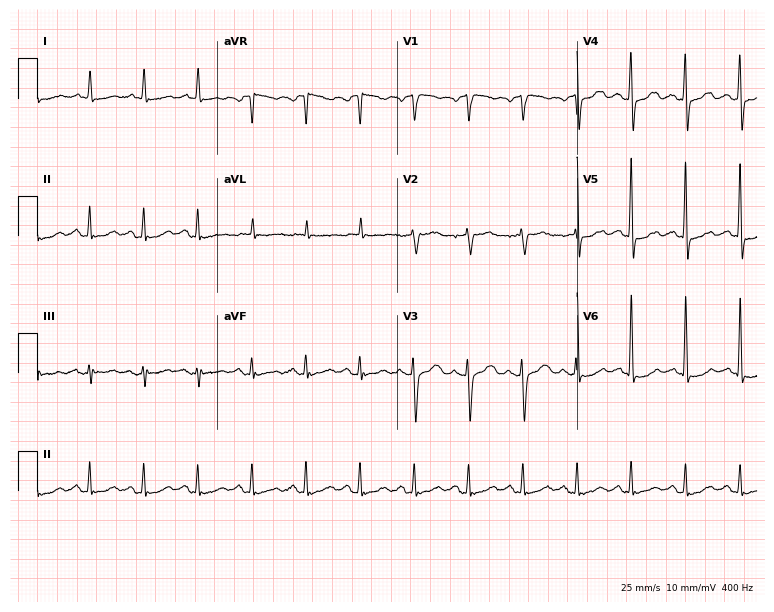
12-lead ECG from a 71-year-old female patient (7.3-second recording at 400 Hz). Shows sinus tachycardia (a sinus rate of 100 beats per minute or more).